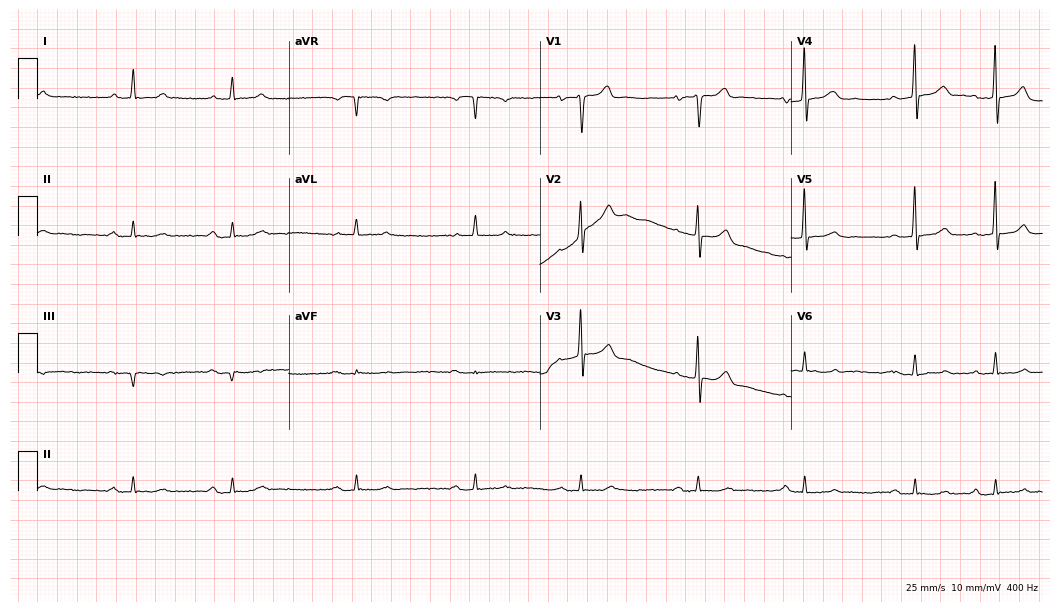
Standard 12-lead ECG recorded from a 56-year-old male (10.2-second recording at 400 Hz). Read as a normal ECG.